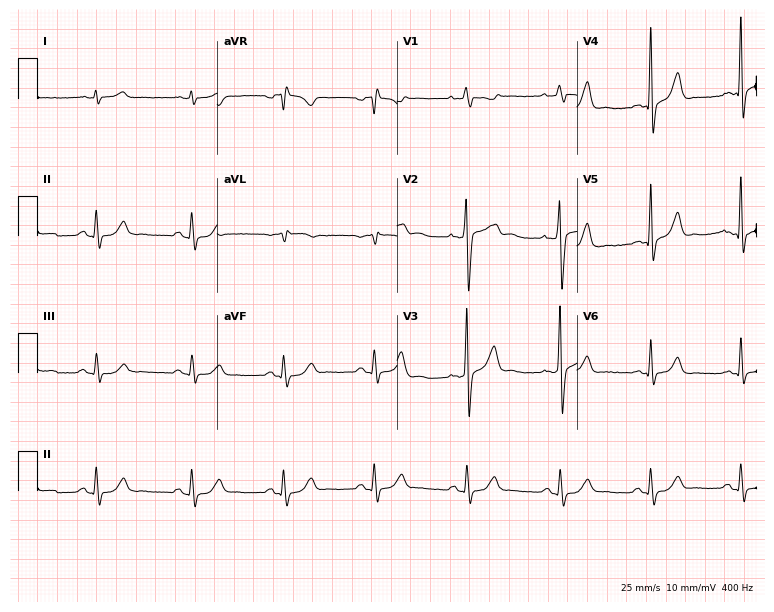
ECG — a 49-year-old man. Screened for six findings — first-degree AV block, right bundle branch block, left bundle branch block, sinus bradycardia, atrial fibrillation, sinus tachycardia — none is recorded. Only these six findings were labelled.